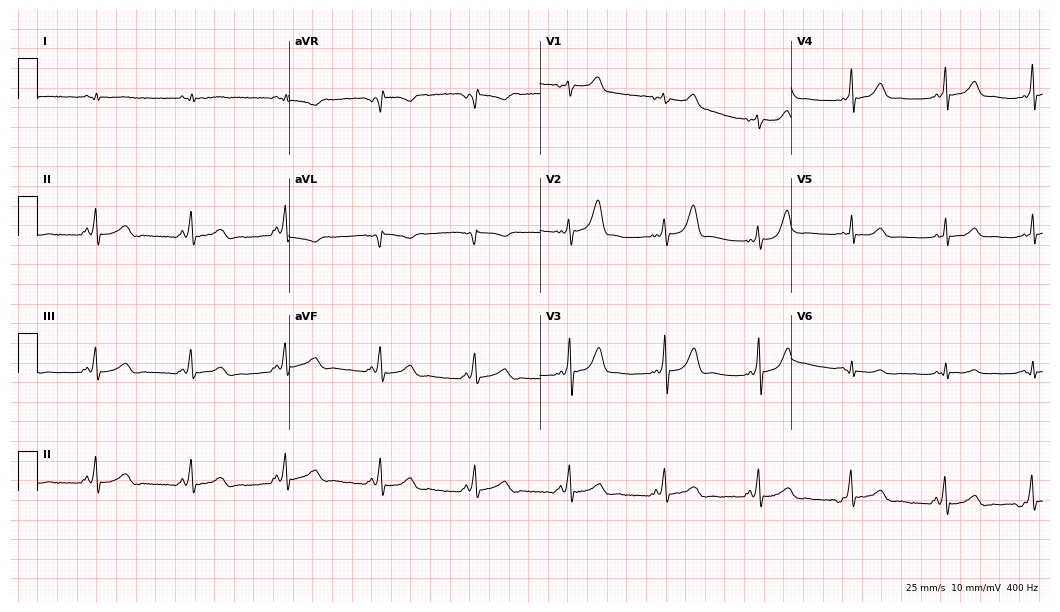
12-lead ECG (10.2-second recording at 400 Hz) from a 55-year-old man. Screened for six findings — first-degree AV block, right bundle branch block, left bundle branch block, sinus bradycardia, atrial fibrillation, sinus tachycardia — none is recorded. Only these six findings were labelled.